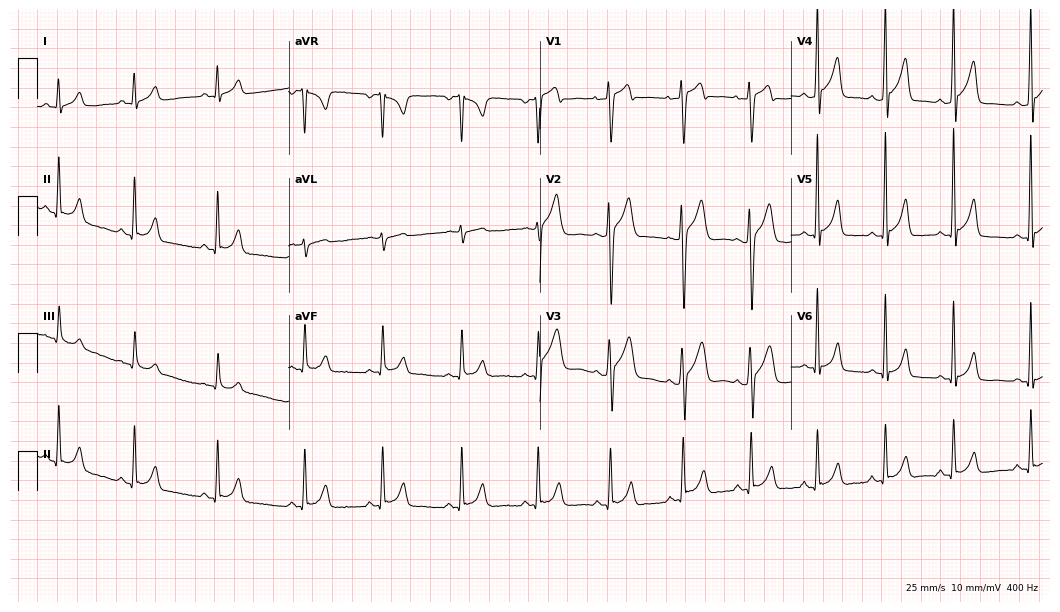
12-lead ECG from a male, 25 years old (10.2-second recording at 400 Hz). Recorded interpretation: within normal limits.